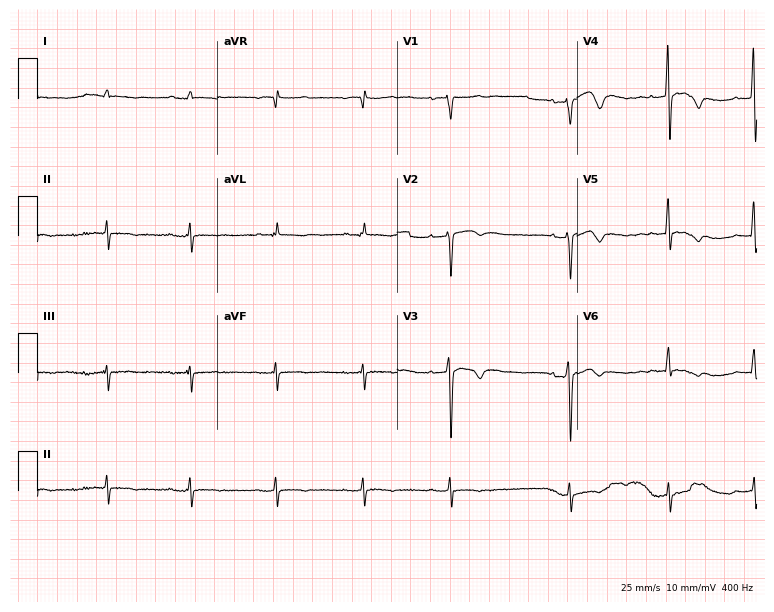
12-lead ECG from a male, 49 years old. Screened for six findings — first-degree AV block, right bundle branch block, left bundle branch block, sinus bradycardia, atrial fibrillation, sinus tachycardia — none is recorded.